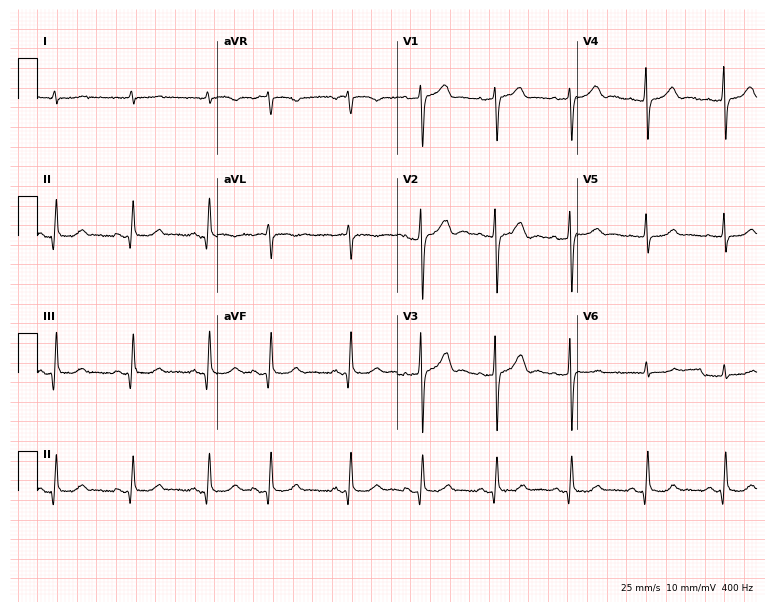
Resting 12-lead electrocardiogram (7.3-second recording at 400 Hz). Patient: a male, 78 years old. Read as a normal ECG.